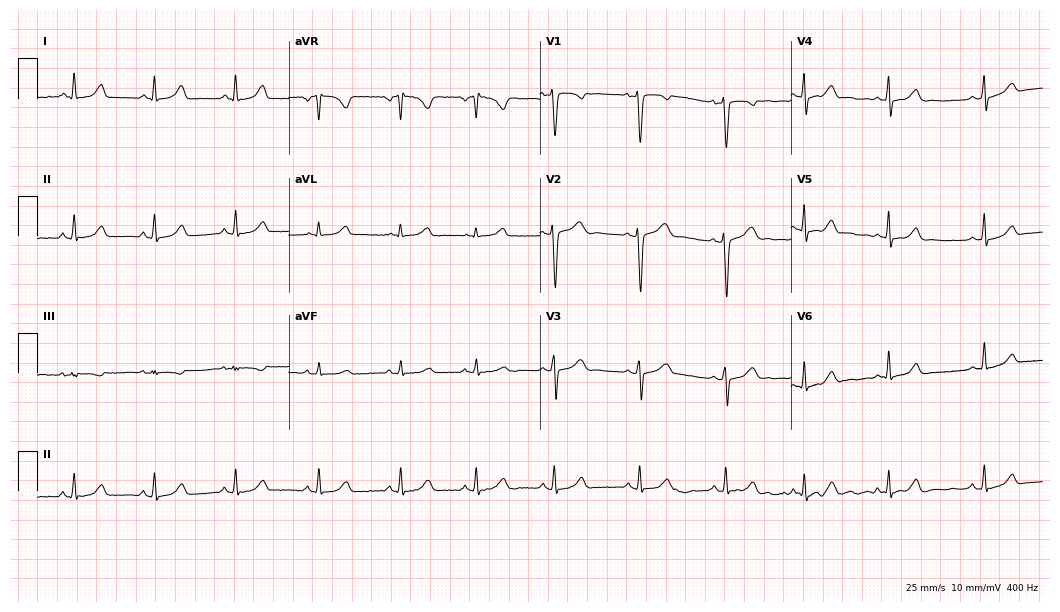
ECG — a 26-year-old woman. Screened for six findings — first-degree AV block, right bundle branch block (RBBB), left bundle branch block (LBBB), sinus bradycardia, atrial fibrillation (AF), sinus tachycardia — none is recorded. Findings outside these six are not listed.